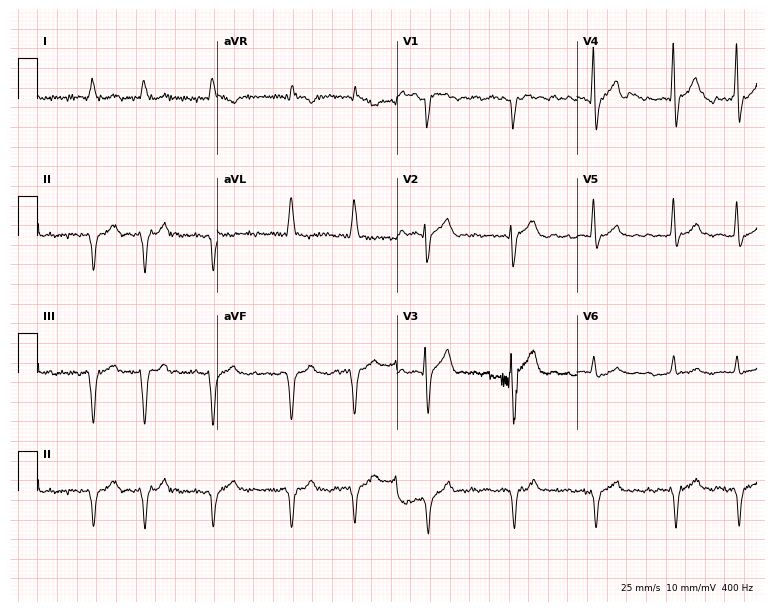
12-lead ECG from a 76-year-old man (7.3-second recording at 400 Hz). No first-degree AV block, right bundle branch block, left bundle branch block, sinus bradycardia, atrial fibrillation or sinus tachycardia recorded for this tracing.